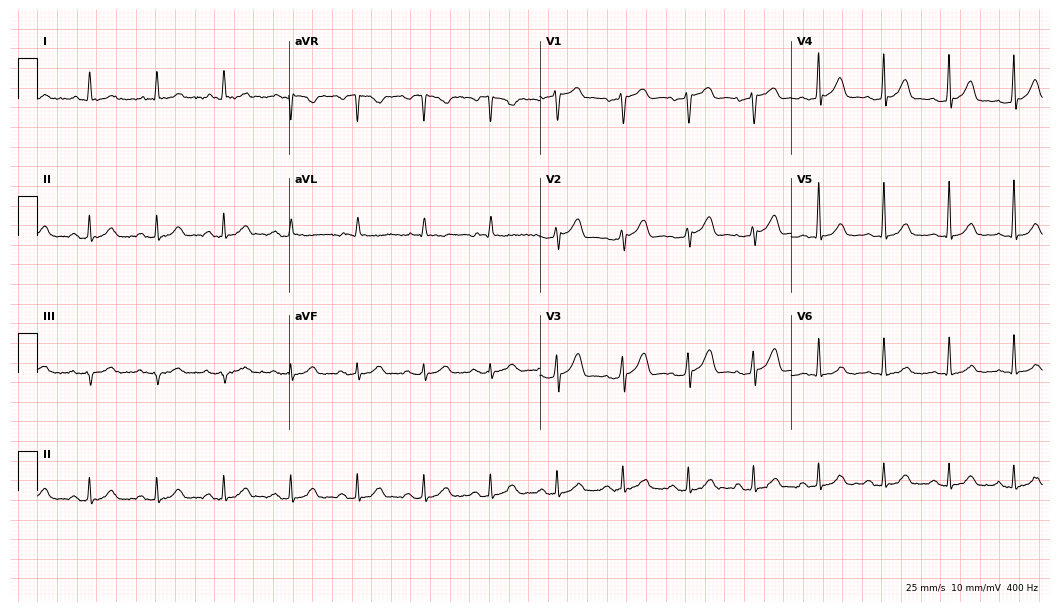
Standard 12-lead ECG recorded from a 75-year-old man. None of these six findings is recorded: first-degree AV block, right bundle branch block, left bundle branch block, sinus bradycardia, atrial fibrillation, sinus tachycardia. Other findings, if any, are not listed.